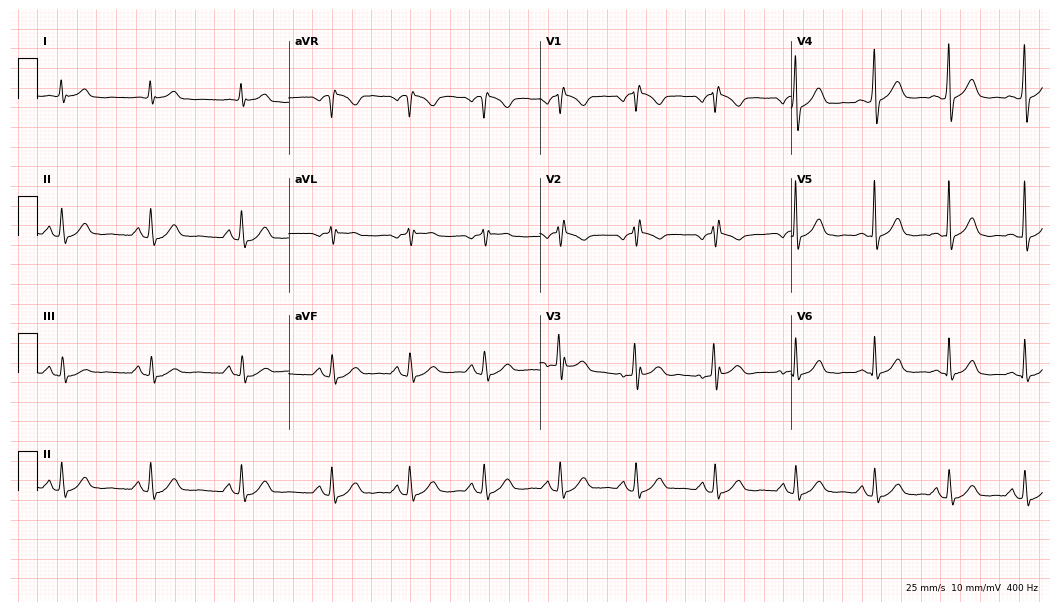
12-lead ECG from a man, 50 years old. No first-degree AV block, right bundle branch block (RBBB), left bundle branch block (LBBB), sinus bradycardia, atrial fibrillation (AF) or sinus tachycardia recorded for this tracing.